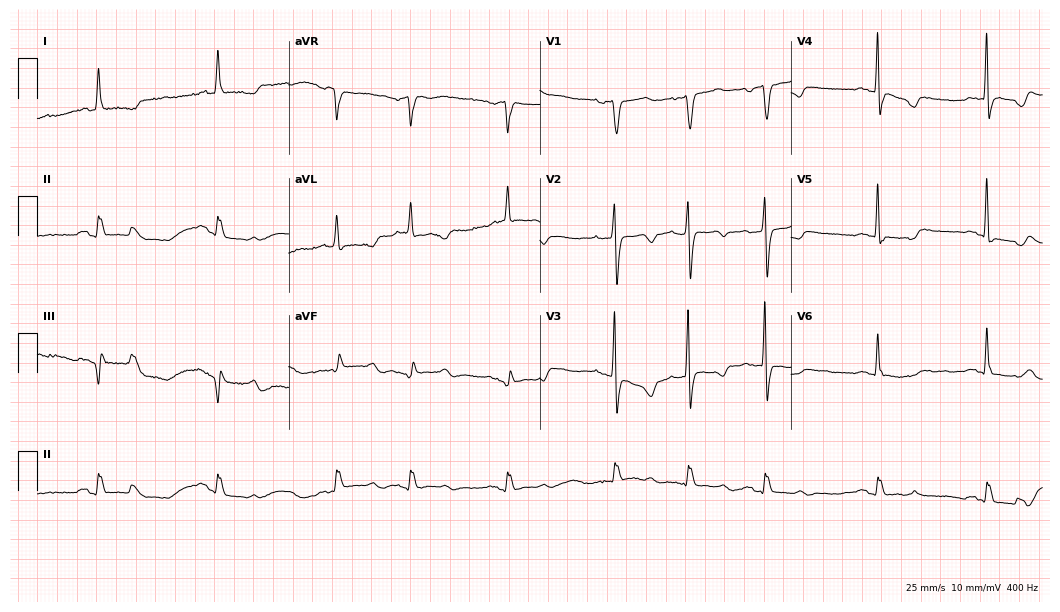
ECG (10.2-second recording at 400 Hz) — a female patient, 71 years old. Screened for six findings — first-degree AV block, right bundle branch block, left bundle branch block, sinus bradycardia, atrial fibrillation, sinus tachycardia — none is recorded. Other findings, if any, are not listed.